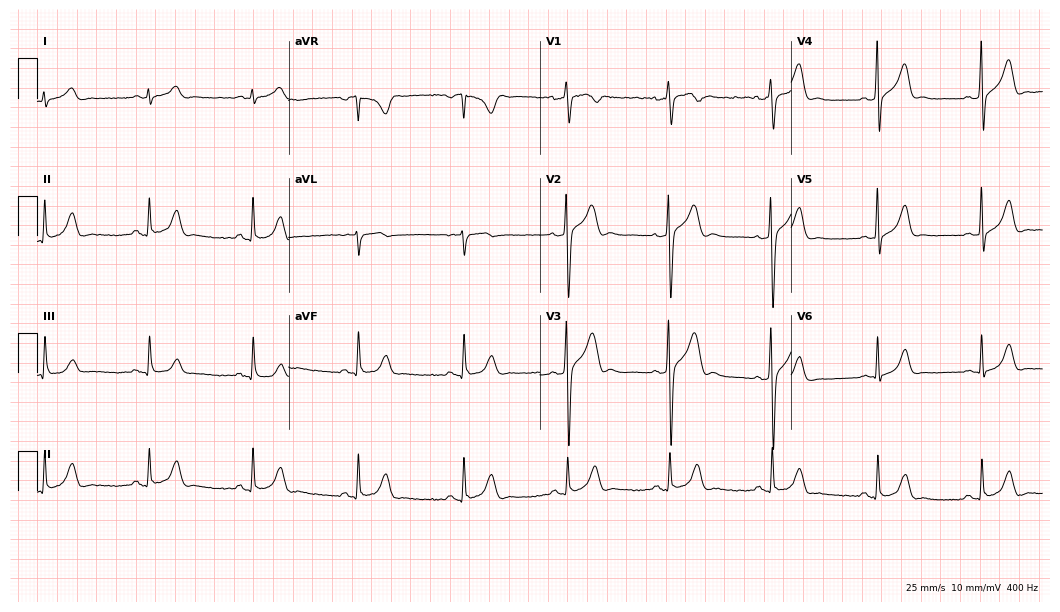
Standard 12-lead ECG recorded from a male patient, 36 years old. Read as a normal ECG.